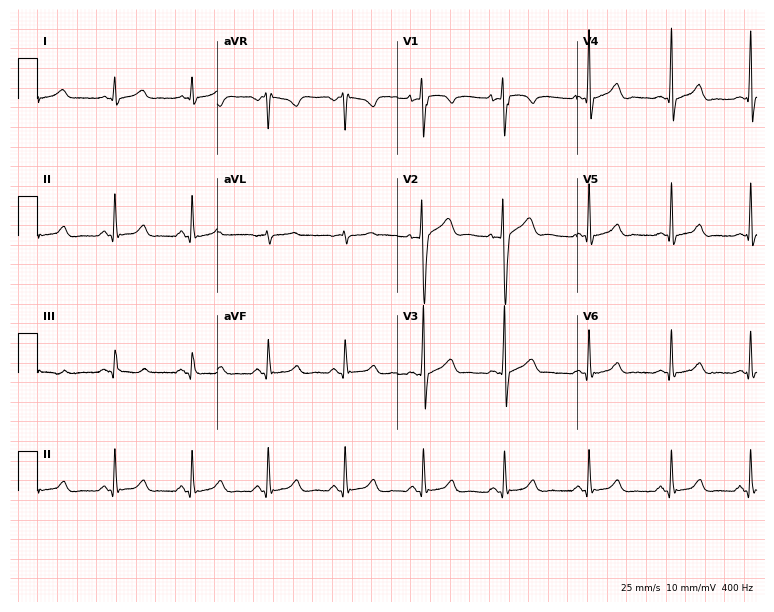
12-lead ECG from a 27-year-old man. Labelled as a normal ECG.